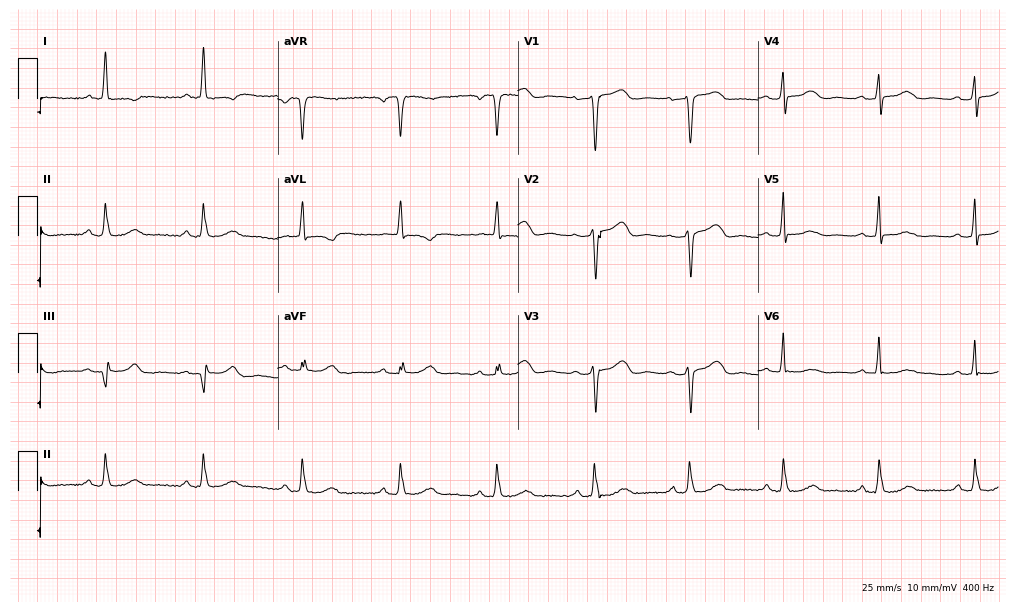
Standard 12-lead ECG recorded from a woman, 75 years old. None of these six findings is recorded: first-degree AV block, right bundle branch block (RBBB), left bundle branch block (LBBB), sinus bradycardia, atrial fibrillation (AF), sinus tachycardia. Only these six findings were labelled.